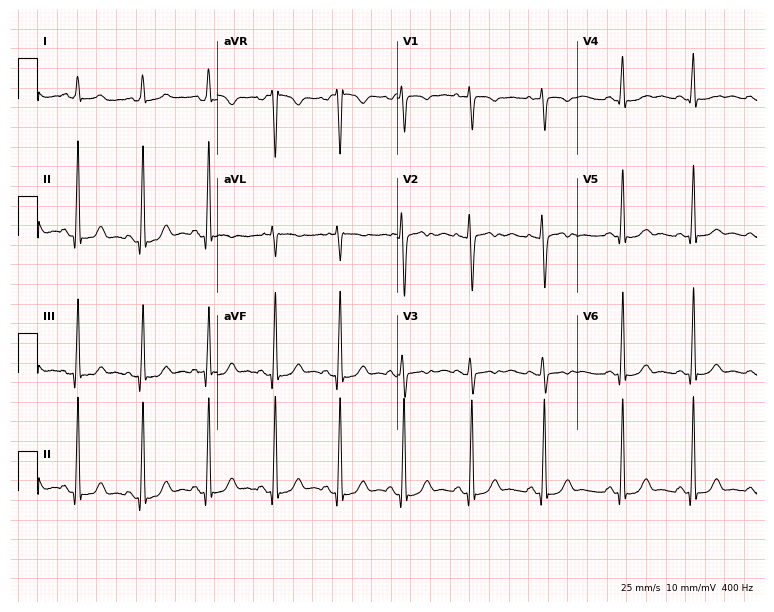
Resting 12-lead electrocardiogram (7.3-second recording at 400 Hz). Patient: a woman, 19 years old. Read as a normal ECG.